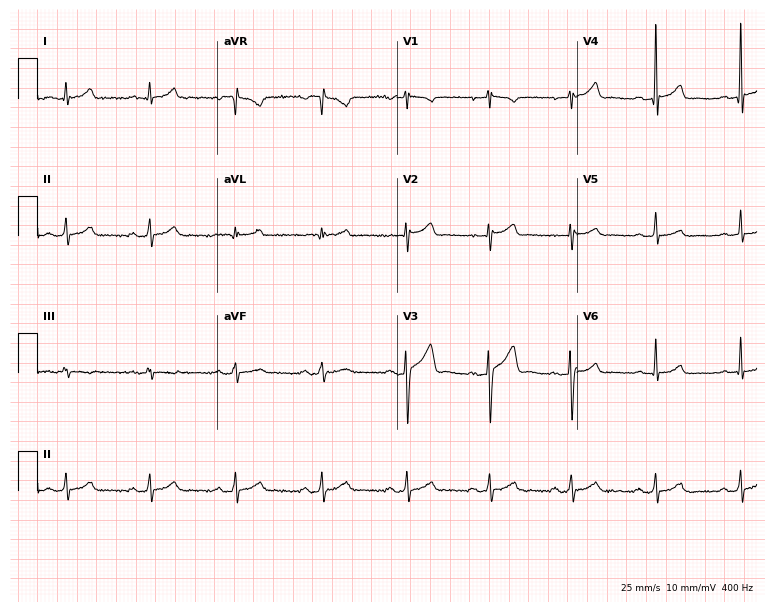
Electrocardiogram (7.3-second recording at 400 Hz), a 29-year-old male. Overall reading on record: normal ECG.